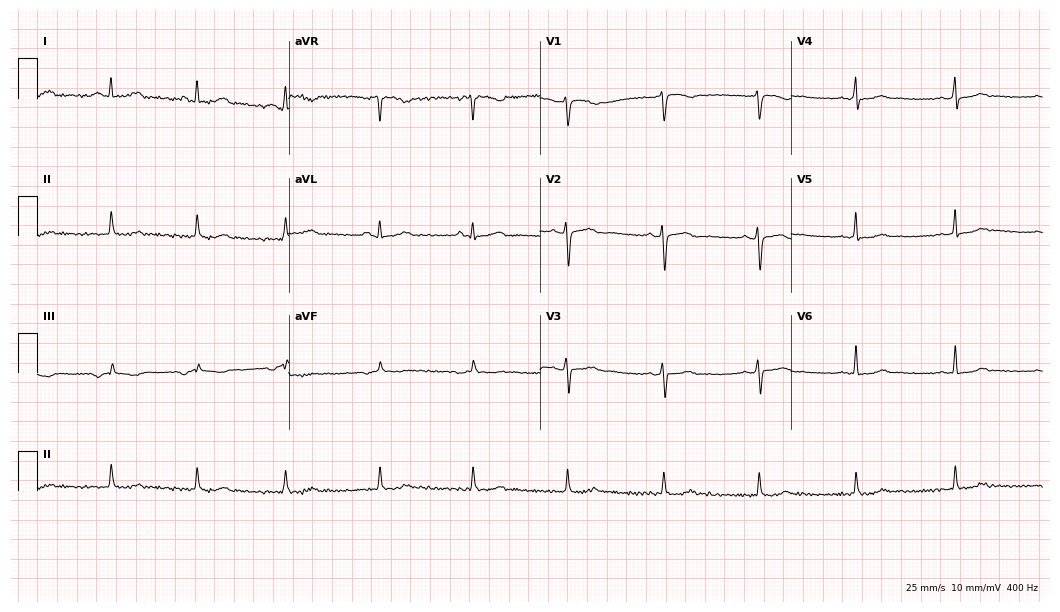
12-lead ECG from a 46-year-old woman. Labelled as a normal ECG.